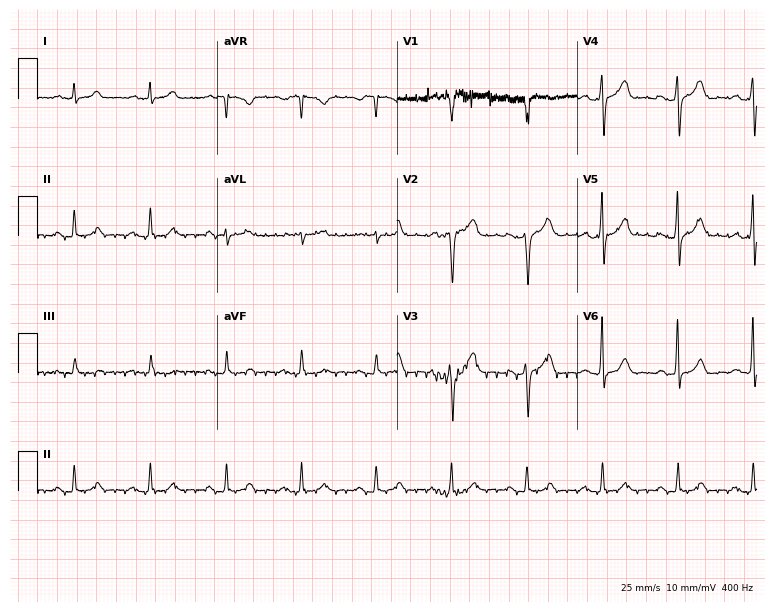
12-lead ECG from a man, 59 years old. Labelled as a normal ECG.